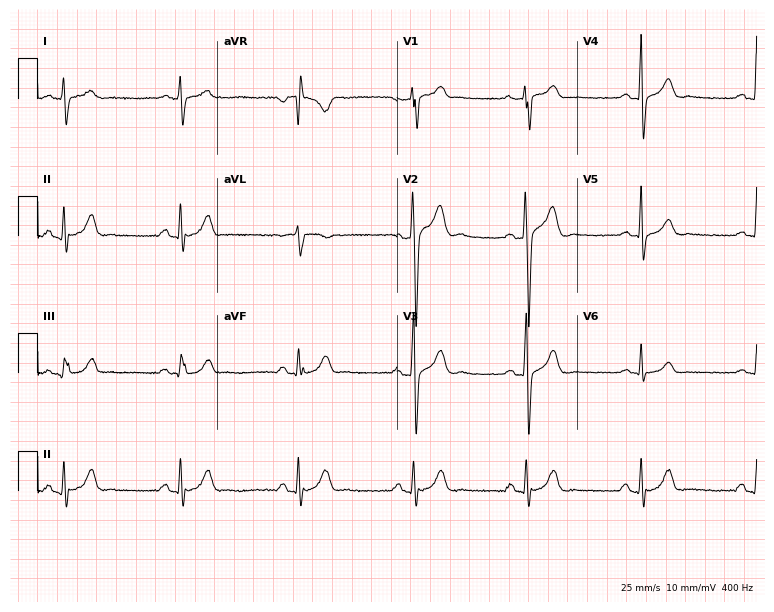
Electrocardiogram (7.3-second recording at 400 Hz), a male patient, 45 years old. Of the six screened findings (first-degree AV block, right bundle branch block (RBBB), left bundle branch block (LBBB), sinus bradycardia, atrial fibrillation (AF), sinus tachycardia), none is recorded.